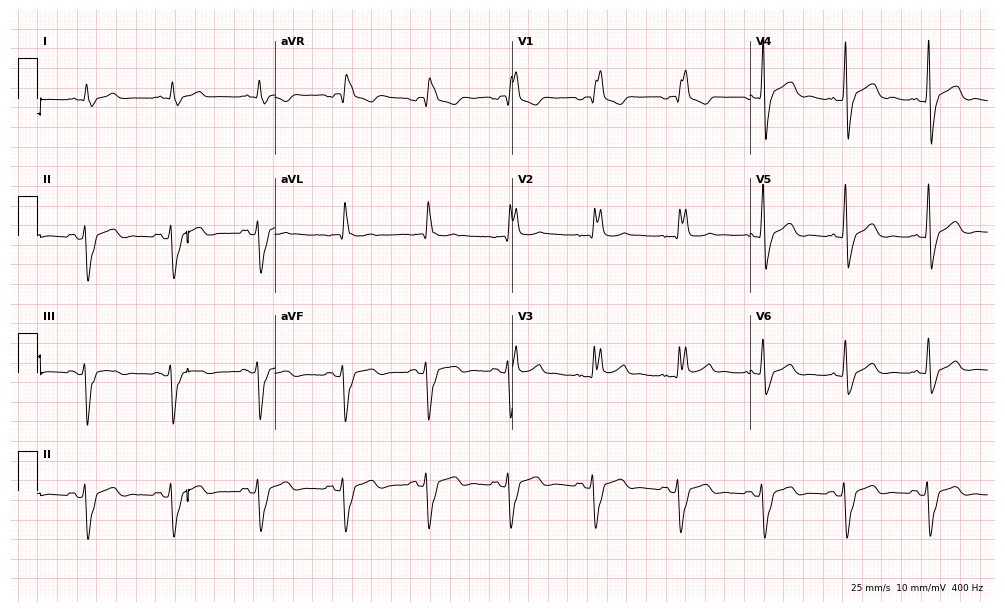
Standard 12-lead ECG recorded from a male, 66 years old. The tracing shows right bundle branch block (RBBB).